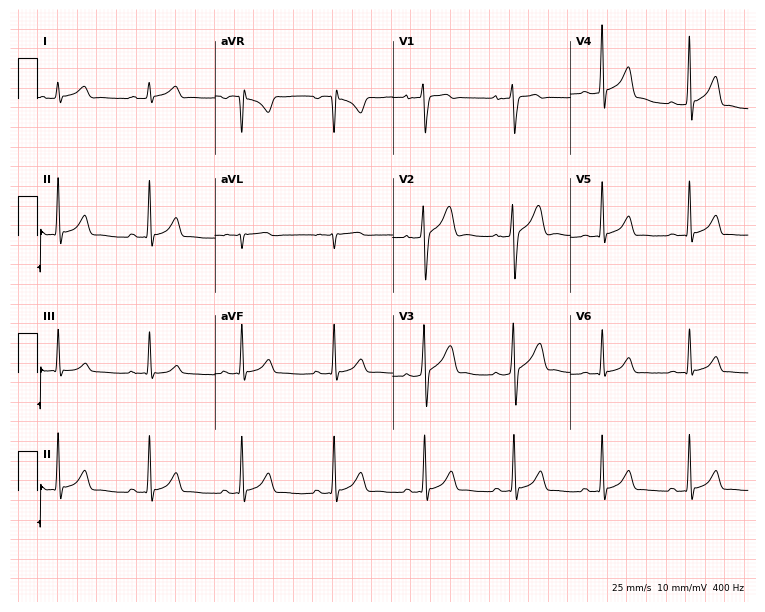
Standard 12-lead ECG recorded from a male patient, 25 years old (7.2-second recording at 400 Hz). Read as a normal ECG.